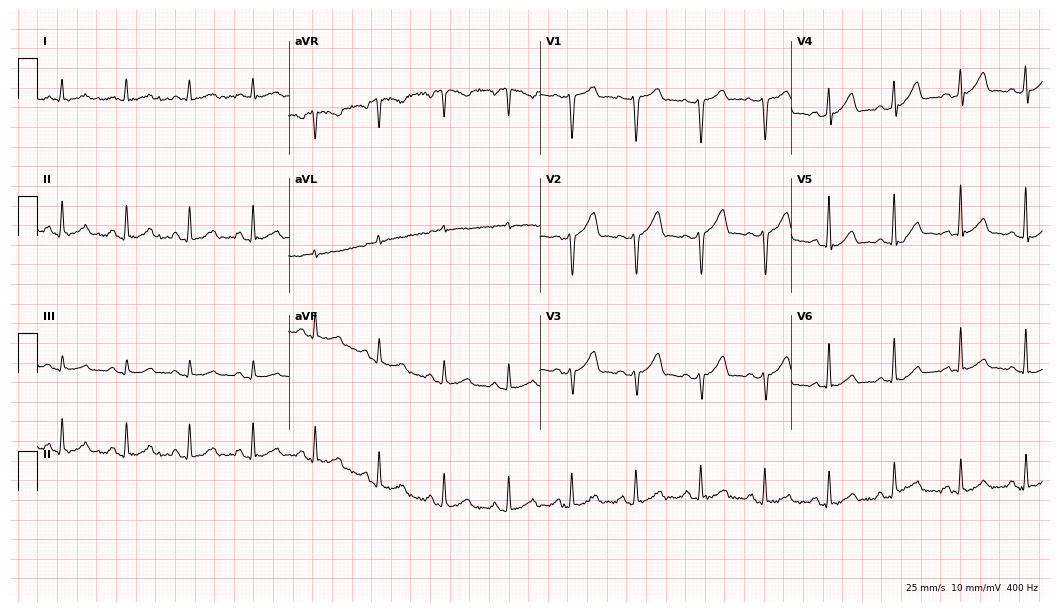
12-lead ECG (10.2-second recording at 400 Hz) from a 51-year-old male patient. Labelled as a normal ECG.